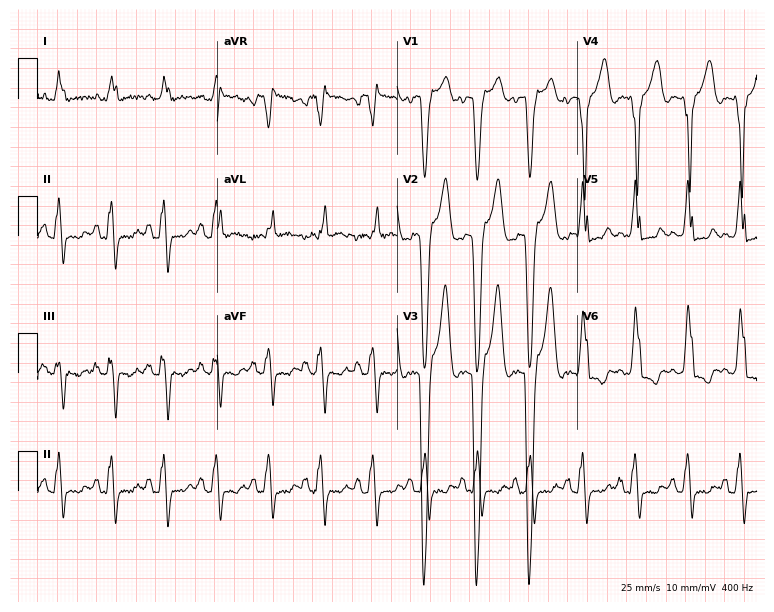
Resting 12-lead electrocardiogram (7.3-second recording at 400 Hz). Patient: a 58-year-old female. The tracing shows left bundle branch block, sinus tachycardia (a sinus rate of 100 beats per minute or more).